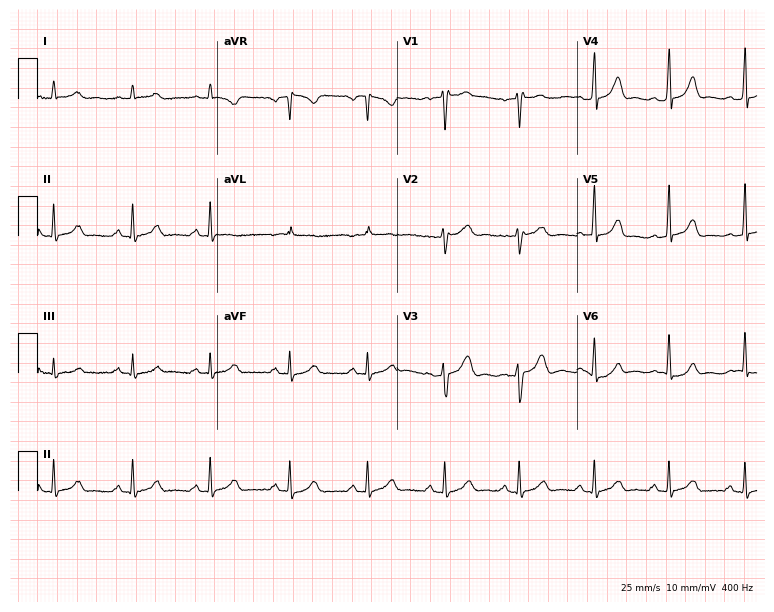
Standard 12-lead ECG recorded from a female patient, 39 years old. Read as a normal ECG.